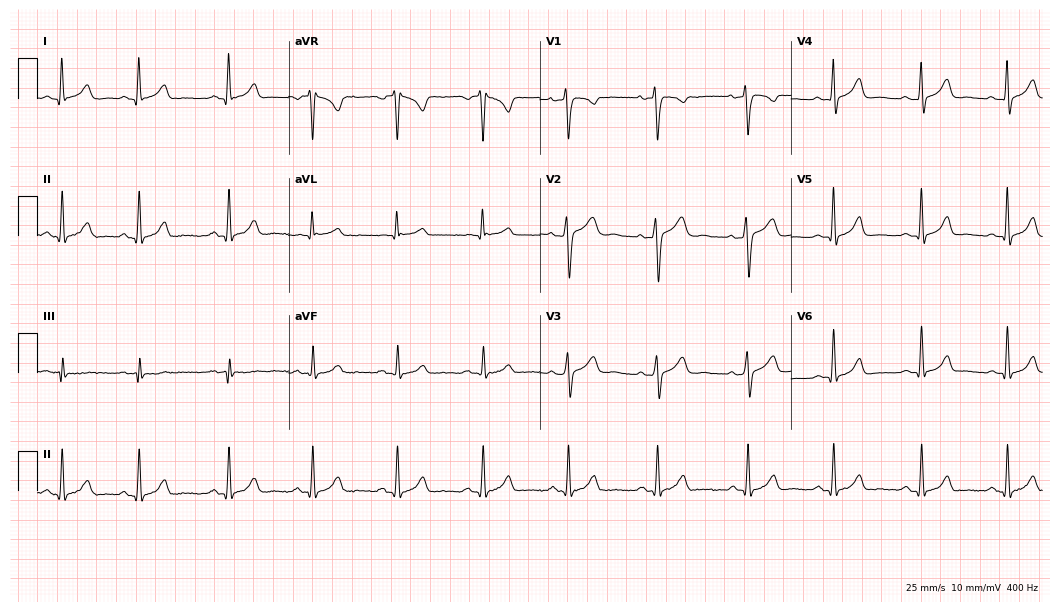
Standard 12-lead ECG recorded from a female patient, 34 years old (10.2-second recording at 400 Hz). Read as a normal ECG.